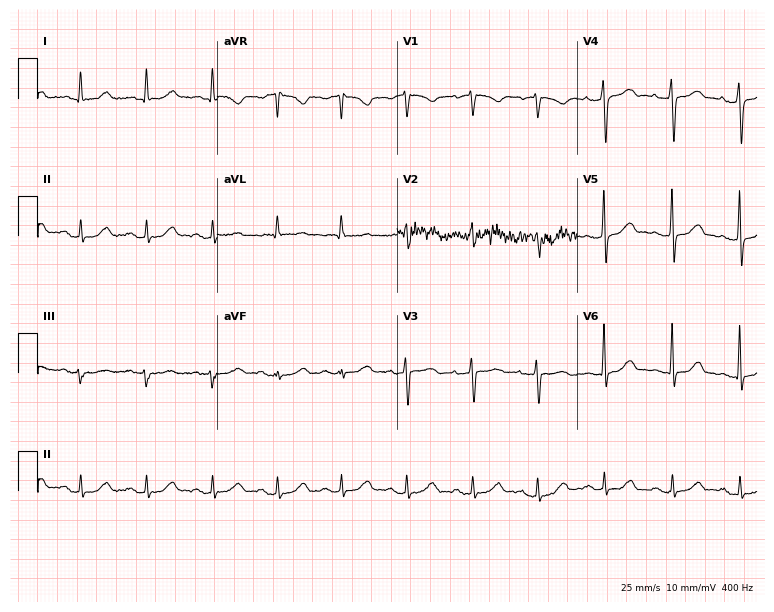
Electrocardiogram, a female patient, 53 years old. Overall reading on record: normal ECG.